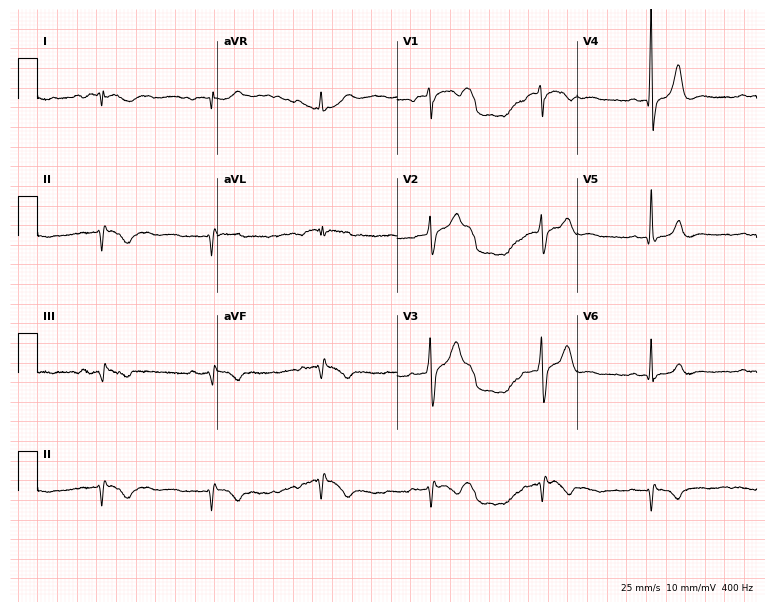
Resting 12-lead electrocardiogram. Patient: an 83-year-old man. None of these six findings is recorded: first-degree AV block, right bundle branch block, left bundle branch block, sinus bradycardia, atrial fibrillation, sinus tachycardia. Findings outside these six are not listed.